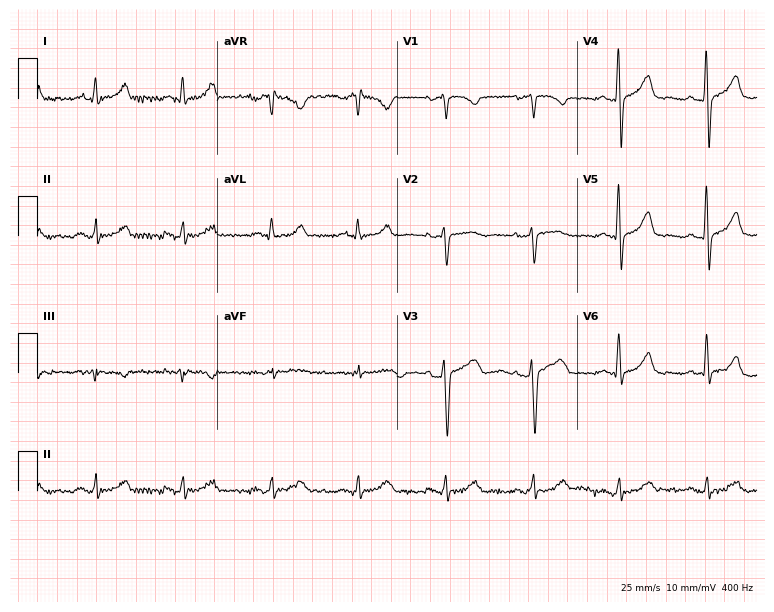
ECG — a female, 45 years old. Screened for six findings — first-degree AV block, right bundle branch block, left bundle branch block, sinus bradycardia, atrial fibrillation, sinus tachycardia — none is recorded. Only these six findings were labelled.